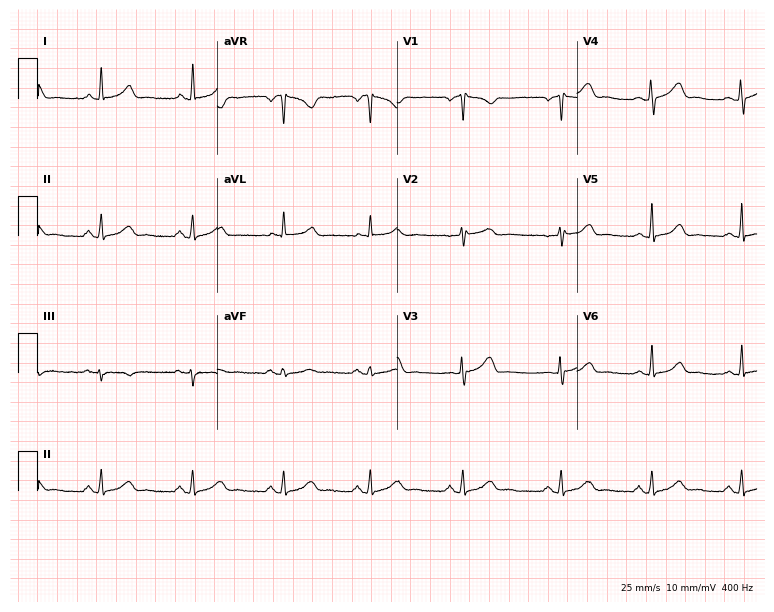
Electrocardiogram (7.3-second recording at 400 Hz), a woman, 40 years old. Overall reading on record: normal ECG.